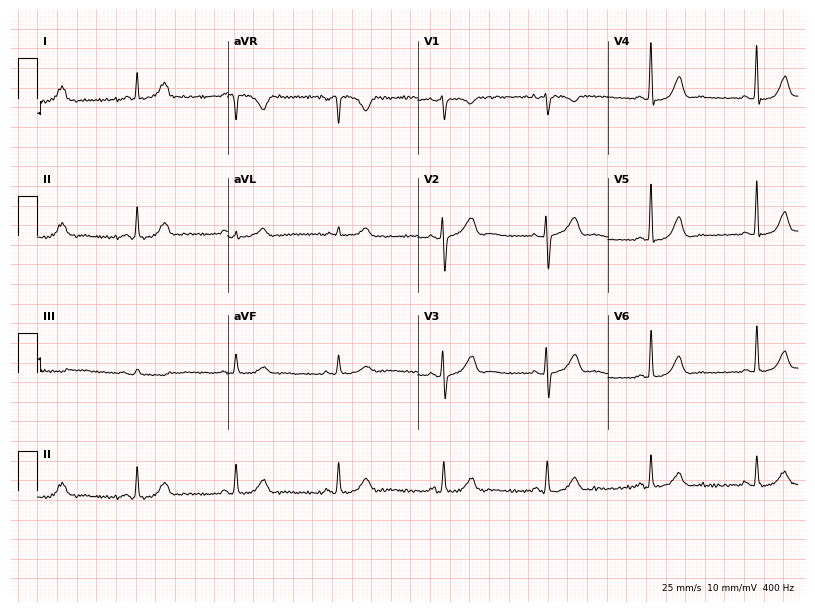
12-lead ECG from a female, 57 years old (7.8-second recording at 400 Hz). No first-degree AV block, right bundle branch block, left bundle branch block, sinus bradycardia, atrial fibrillation or sinus tachycardia recorded for this tracing. Findings outside these six are not listed.